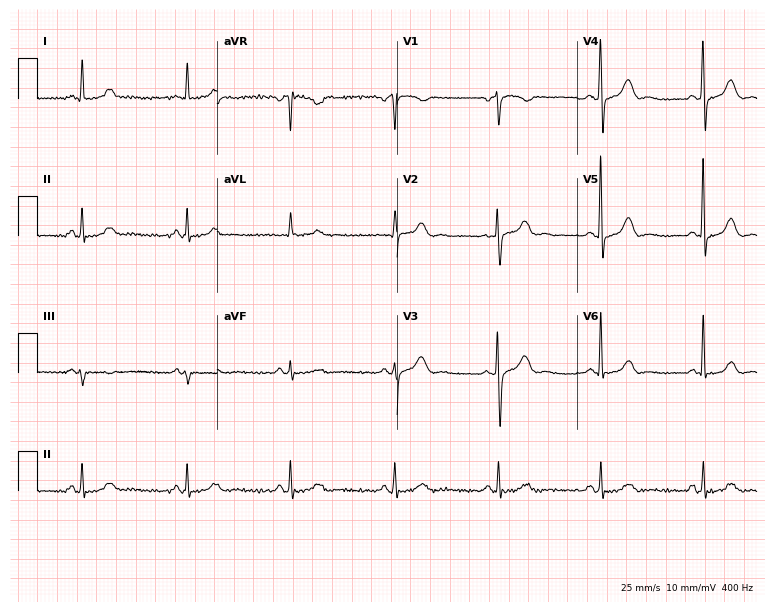
ECG (7.3-second recording at 400 Hz) — a 63-year-old female. Screened for six findings — first-degree AV block, right bundle branch block, left bundle branch block, sinus bradycardia, atrial fibrillation, sinus tachycardia — none is recorded.